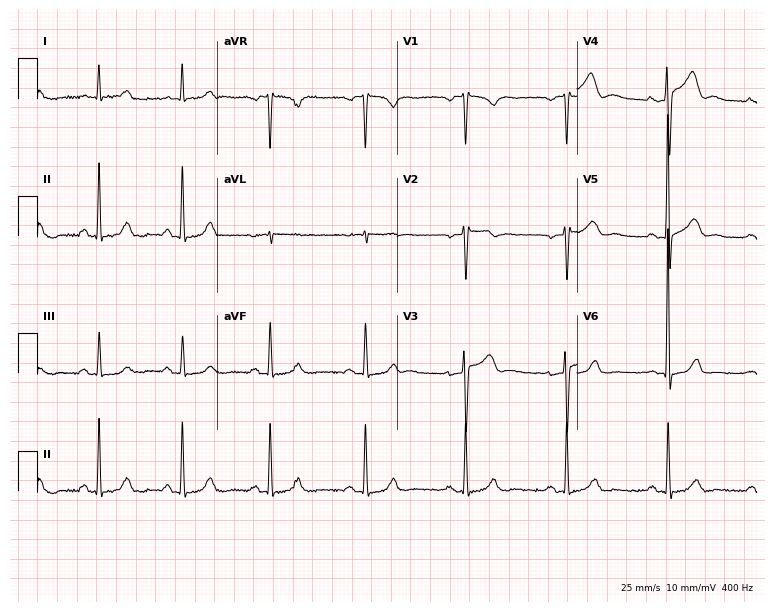
12-lead ECG (7.3-second recording at 400 Hz) from a male patient, 54 years old. Screened for six findings — first-degree AV block, right bundle branch block (RBBB), left bundle branch block (LBBB), sinus bradycardia, atrial fibrillation (AF), sinus tachycardia — none is recorded. Findings outside these six are not listed.